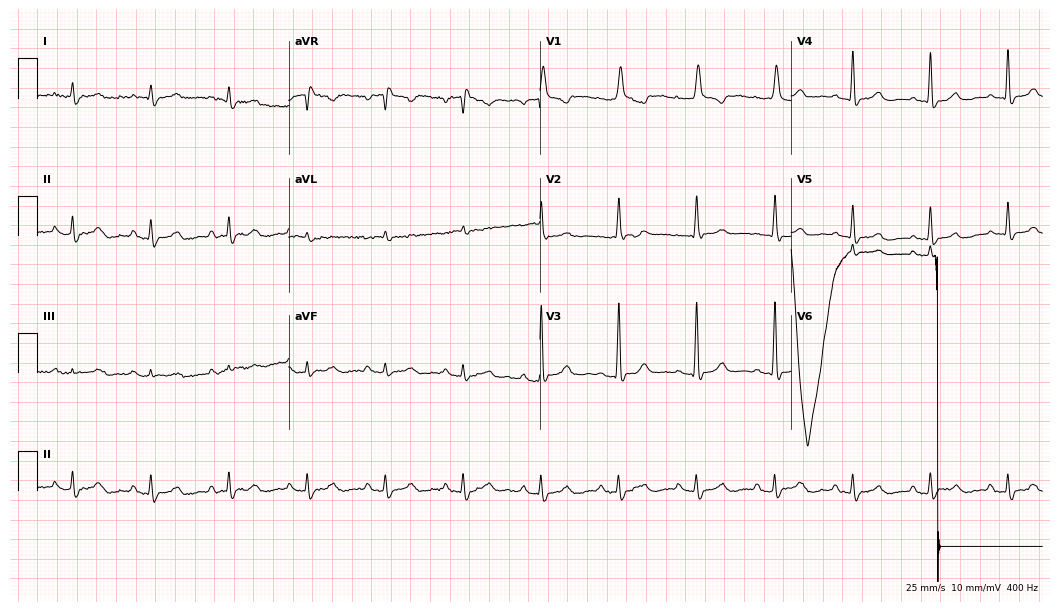
12-lead ECG (10.2-second recording at 400 Hz) from an 82-year-old man. Screened for six findings — first-degree AV block, right bundle branch block (RBBB), left bundle branch block (LBBB), sinus bradycardia, atrial fibrillation (AF), sinus tachycardia — none is recorded.